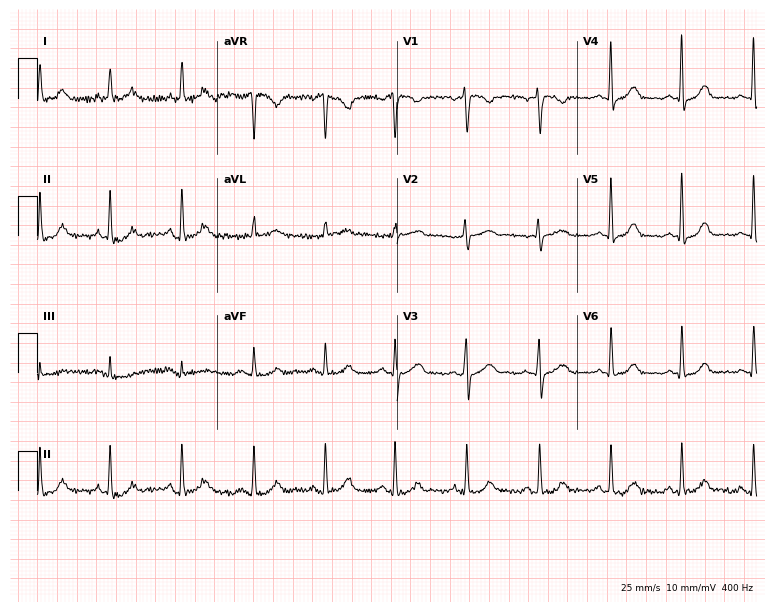
Standard 12-lead ECG recorded from a 37-year-old female patient. Read as a normal ECG.